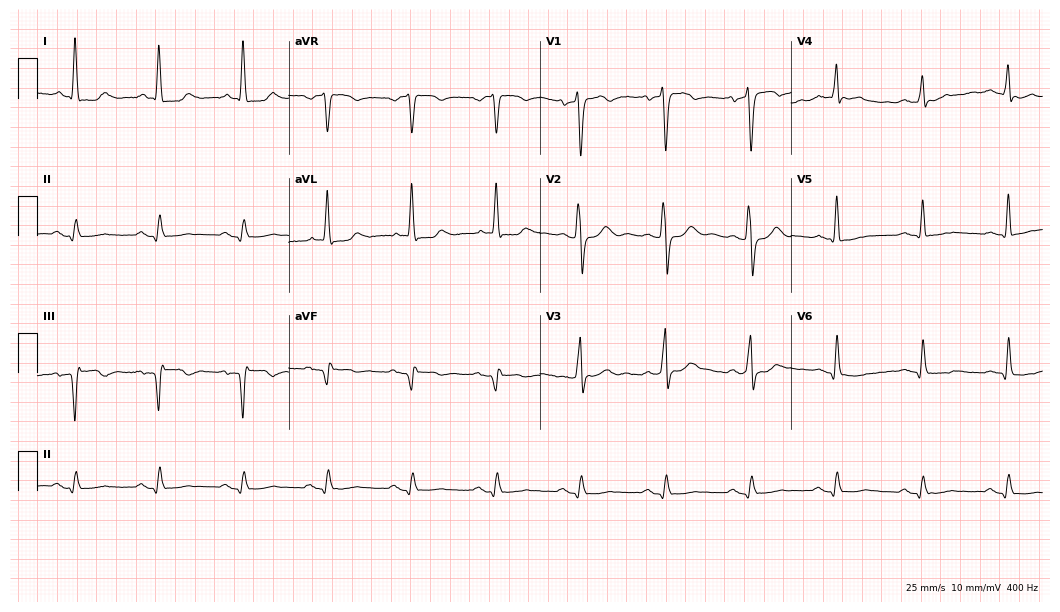
Electrocardiogram, an 89-year-old male patient. Of the six screened findings (first-degree AV block, right bundle branch block, left bundle branch block, sinus bradycardia, atrial fibrillation, sinus tachycardia), none is recorded. Only these six findings were labelled.